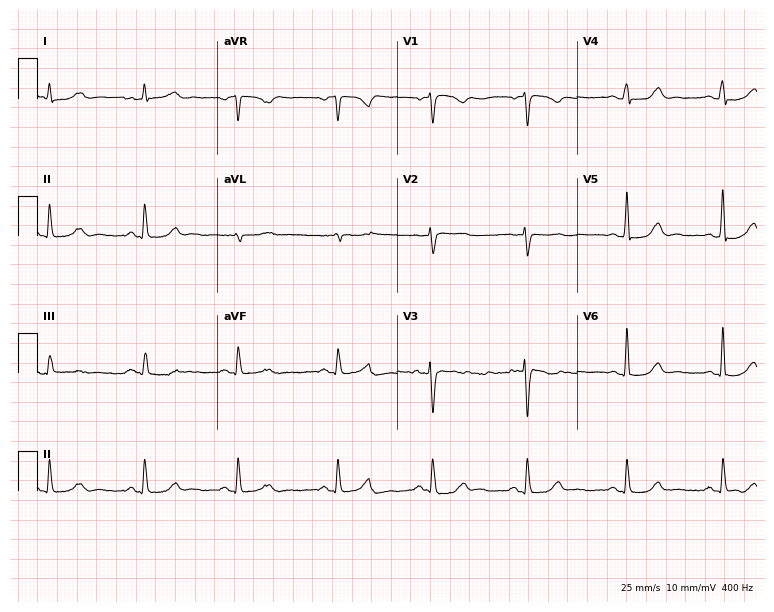
Resting 12-lead electrocardiogram. Patient: a female, 47 years old. None of these six findings is recorded: first-degree AV block, right bundle branch block, left bundle branch block, sinus bradycardia, atrial fibrillation, sinus tachycardia.